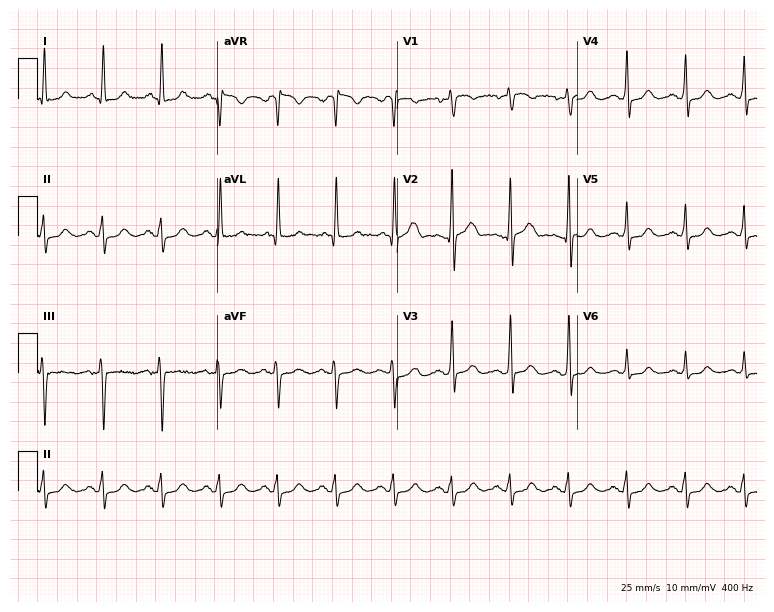
12-lead ECG from a man, 56 years old. Recorded interpretation: within normal limits.